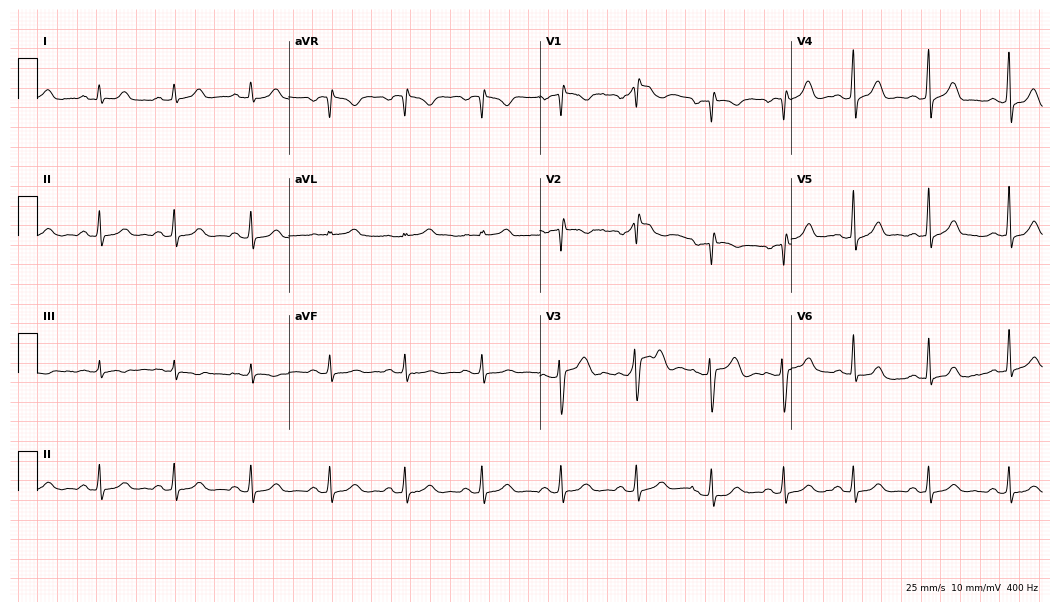
12-lead ECG (10.2-second recording at 400 Hz) from a female patient, 31 years old. Screened for six findings — first-degree AV block, right bundle branch block, left bundle branch block, sinus bradycardia, atrial fibrillation, sinus tachycardia — none is recorded. Only these six findings were labelled.